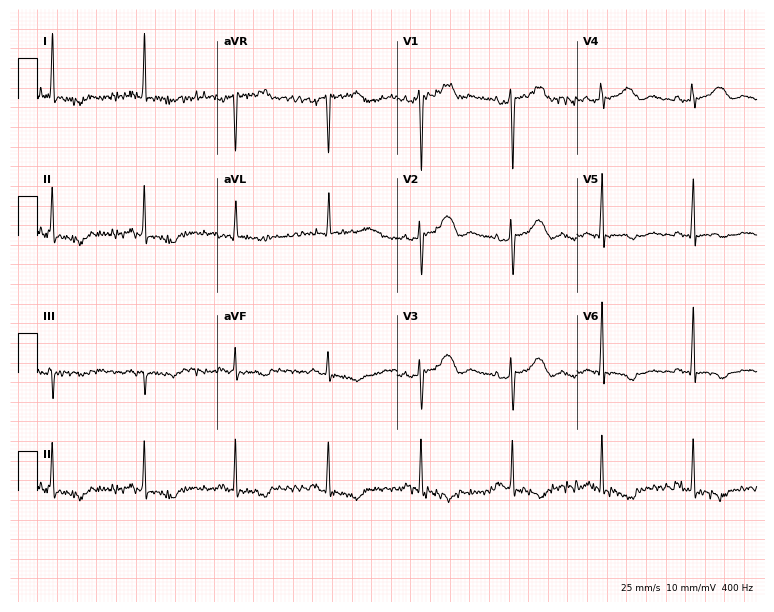
ECG (7.3-second recording at 400 Hz) — a woman, 78 years old. Screened for six findings — first-degree AV block, right bundle branch block (RBBB), left bundle branch block (LBBB), sinus bradycardia, atrial fibrillation (AF), sinus tachycardia — none is recorded. Only these six findings were labelled.